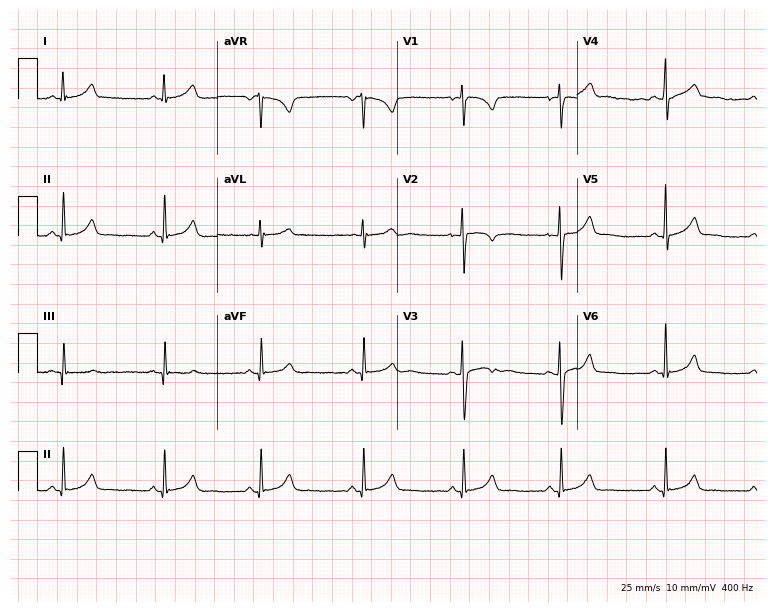
Standard 12-lead ECG recorded from a 20-year-old woman (7.3-second recording at 400 Hz). Read as a normal ECG.